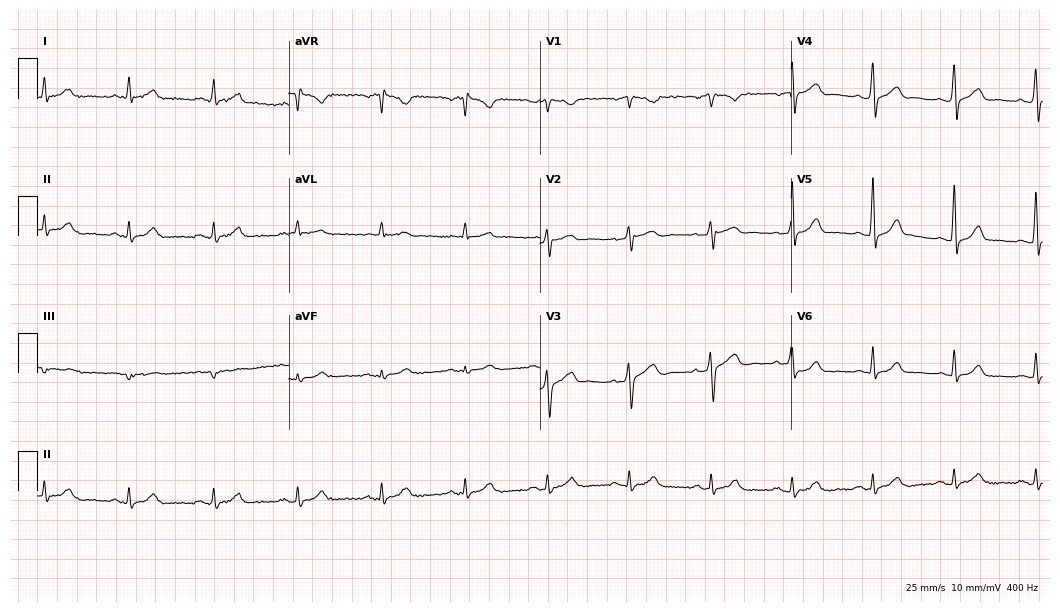
12-lead ECG from a male, 39 years old. Labelled as a normal ECG.